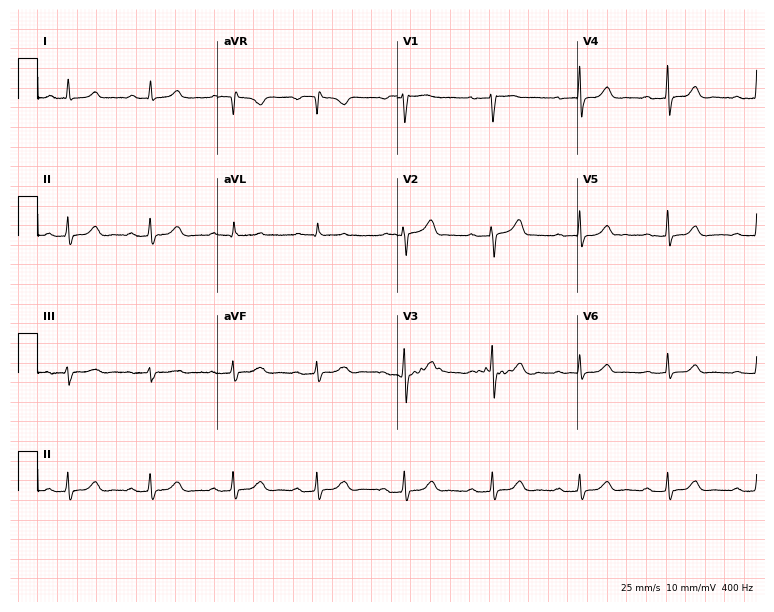
Standard 12-lead ECG recorded from a 46-year-old female. None of these six findings is recorded: first-degree AV block, right bundle branch block (RBBB), left bundle branch block (LBBB), sinus bradycardia, atrial fibrillation (AF), sinus tachycardia. Other findings, if any, are not listed.